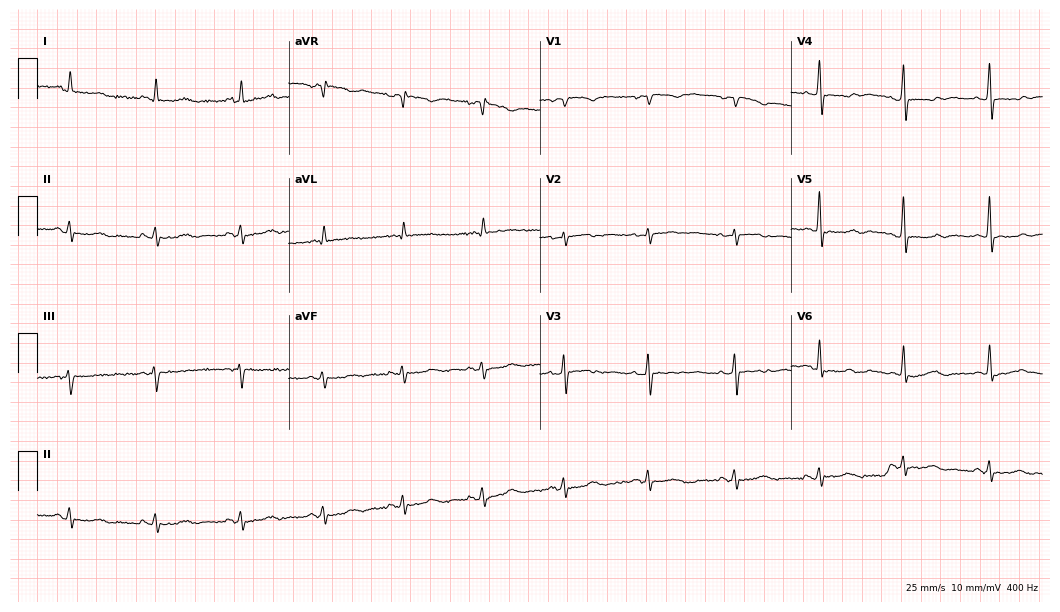
Standard 12-lead ECG recorded from a woman, 53 years old. None of these six findings is recorded: first-degree AV block, right bundle branch block (RBBB), left bundle branch block (LBBB), sinus bradycardia, atrial fibrillation (AF), sinus tachycardia. Other findings, if any, are not listed.